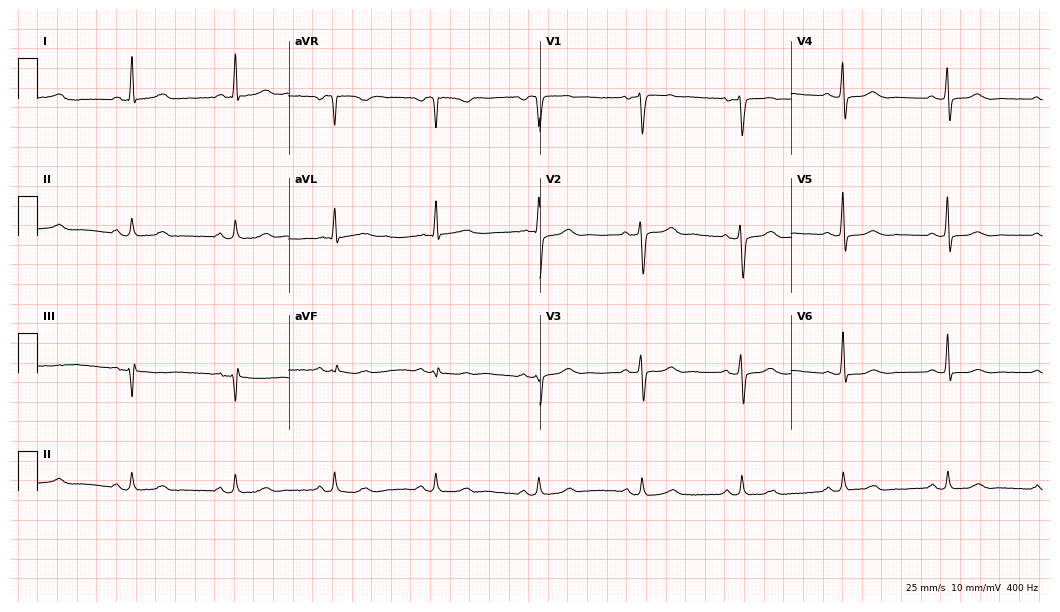
12-lead ECG from a female, 65 years old. Labelled as a normal ECG.